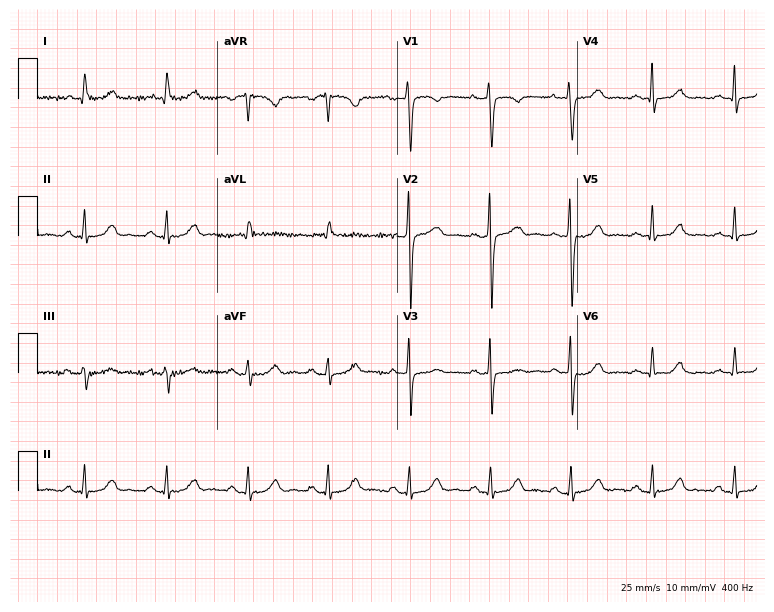
12-lead ECG from a woman, 76 years old (7.3-second recording at 400 Hz). Recorded interpretation: within normal limits.